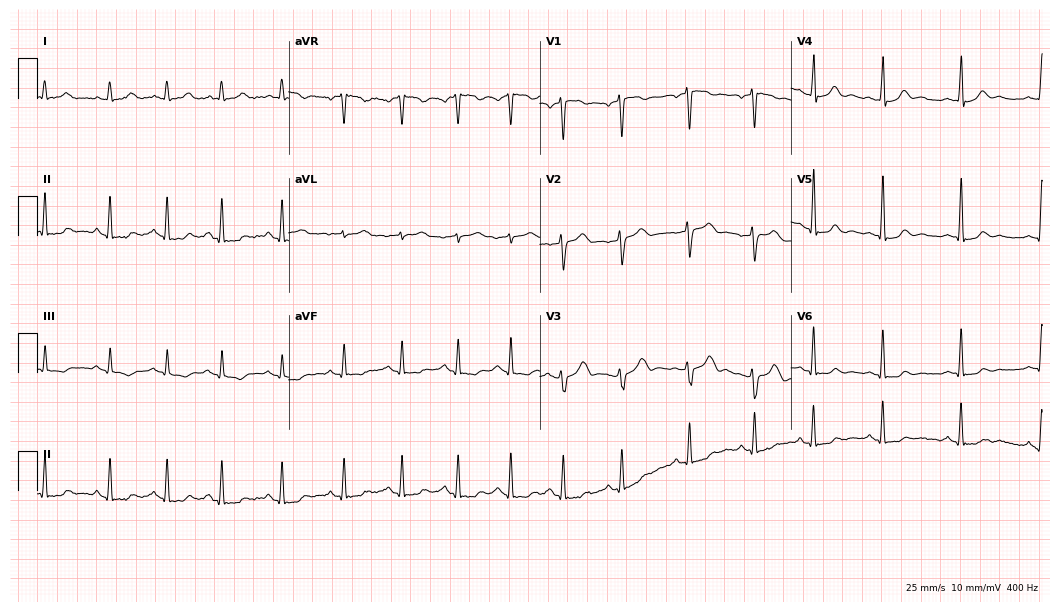
12-lead ECG from a woman, 33 years old. Screened for six findings — first-degree AV block, right bundle branch block, left bundle branch block, sinus bradycardia, atrial fibrillation, sinus tachycardia — none is recorded.